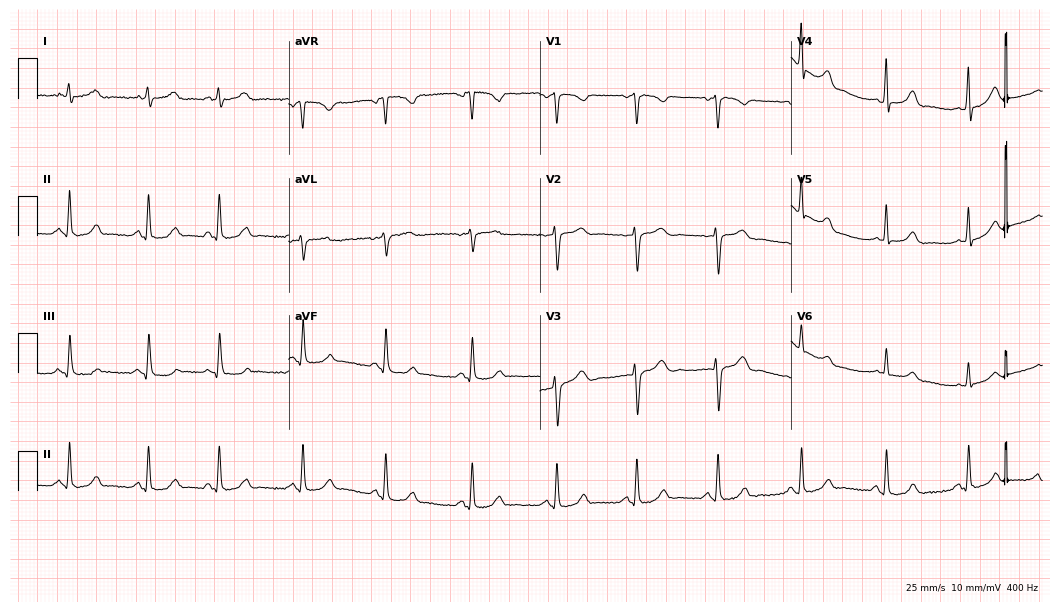
ECG (10.2-second recording at 400 Hz) — a female patient, 27 years old. Labelled as a normal ECG.